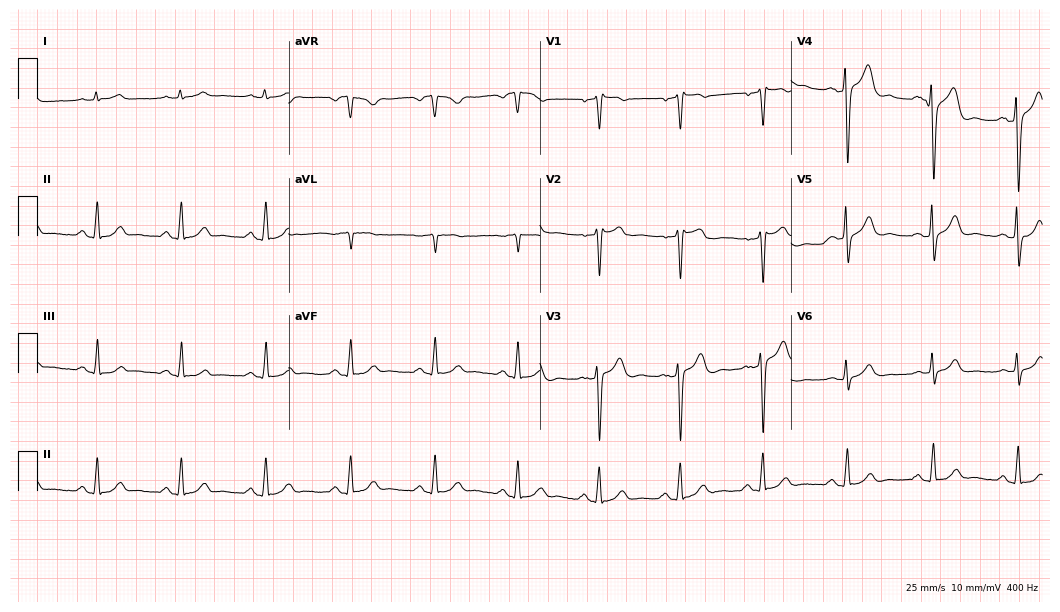
Resting 12-lead electrocardiogram (10.2-second recording at 400 Hz). Patient: a 52-year-old male. None of these six findings is recorded: first-degree AV block, right bundle branch block, left bundle branch block, sinus bradycardia, atrial fibrillation, sinus tachycardia.